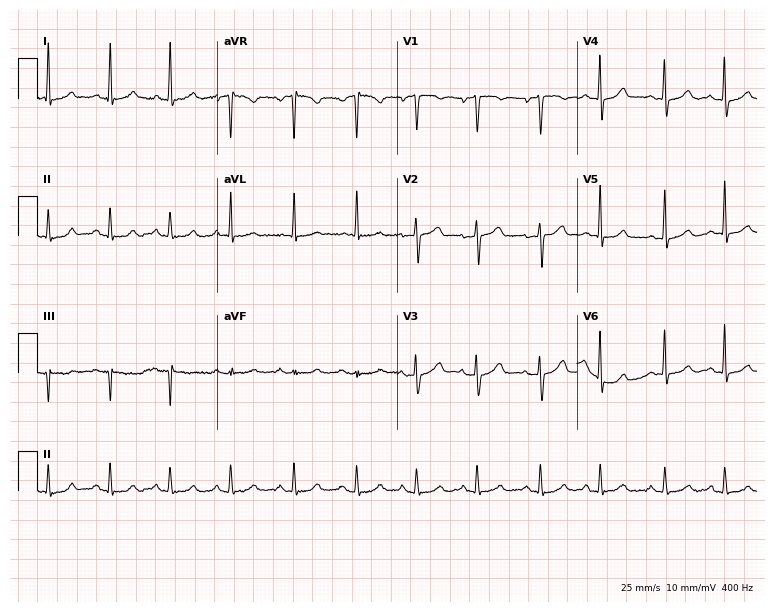
Standard 12-lead ECG recorded from a 75-year-old female patient. None of these six findings is recorded: first-degree AV block, right bundle branch block, left bundle branch block, sinus bradycardia, atrial fibrillation, sinus tachycardia. Only these six findings were labelled.